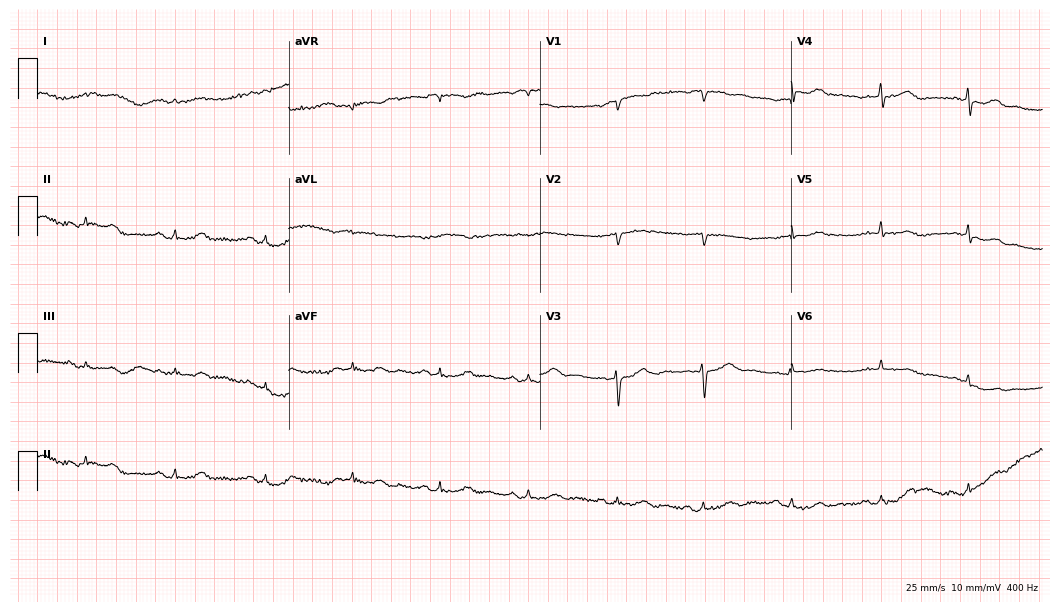
ECG — an 85-year-old male. Screened for six findings — first-degree AV block, right bundle branch block, left bundle branch block, sinus bradycardia, atrial fibrillation, sinus tachycardia — none is recorded.